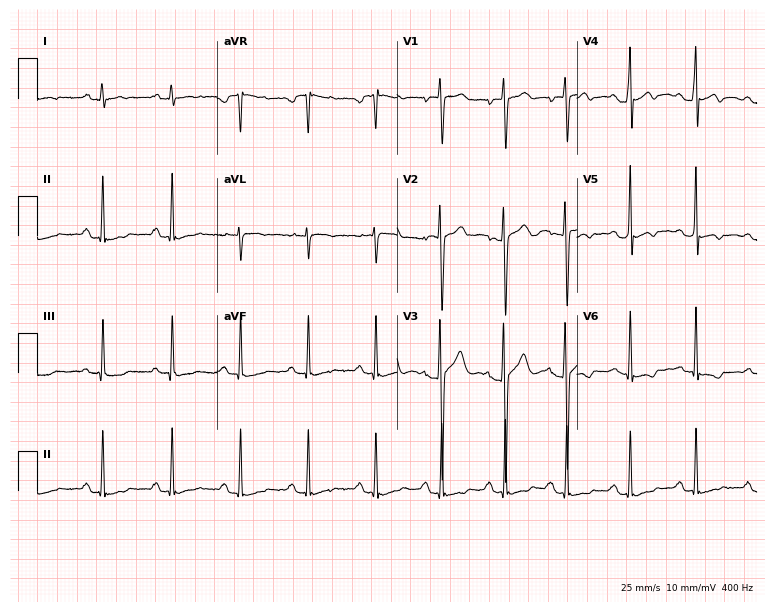
Standard 12-lead ECG recorded from a male, 19 years old (7.3-second recording at 400 Hz). None of these six findings is recorded: first-degree AV block, right bundle branch block (RBBB), left bundle branch block (LBBB), sinus bradycardia, atrial fibrillation (AF), sinus tachycardia.